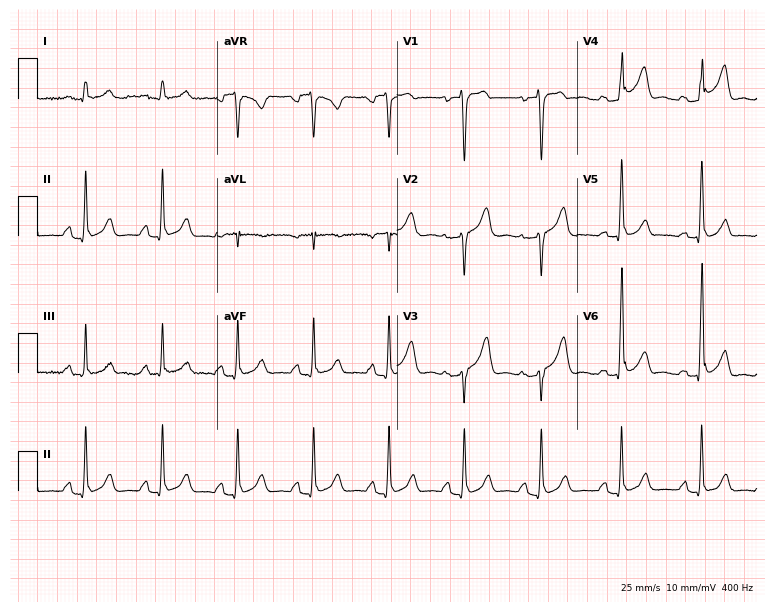
Resting 12-lead electrocardiogram. Patient: a 37-year-old male. Read as a normal ECG.